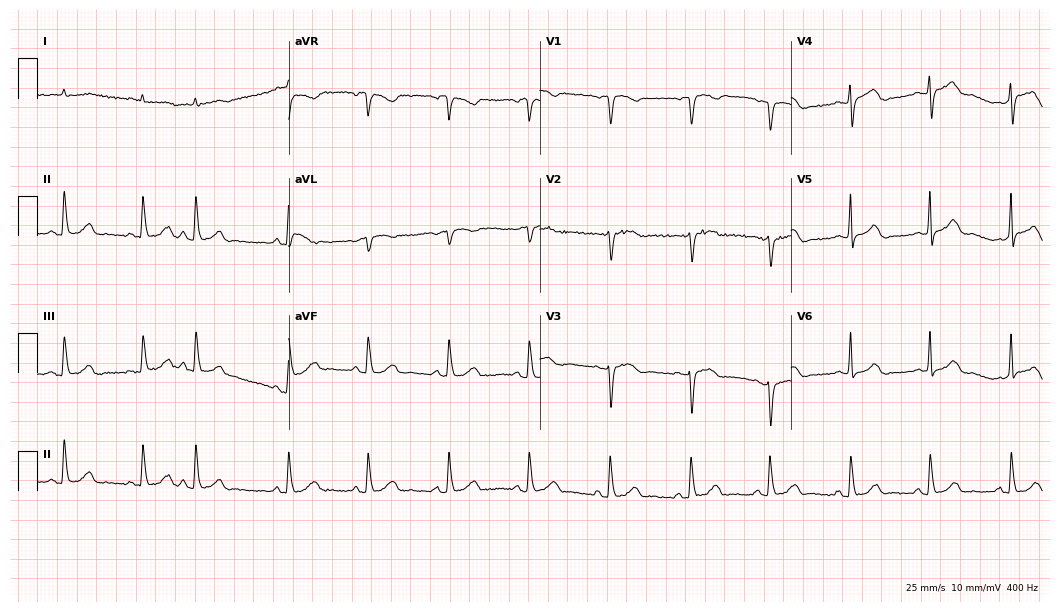
Electrocardiogram, a 75-year-old female patient. Overall reading on record: normal ECG.